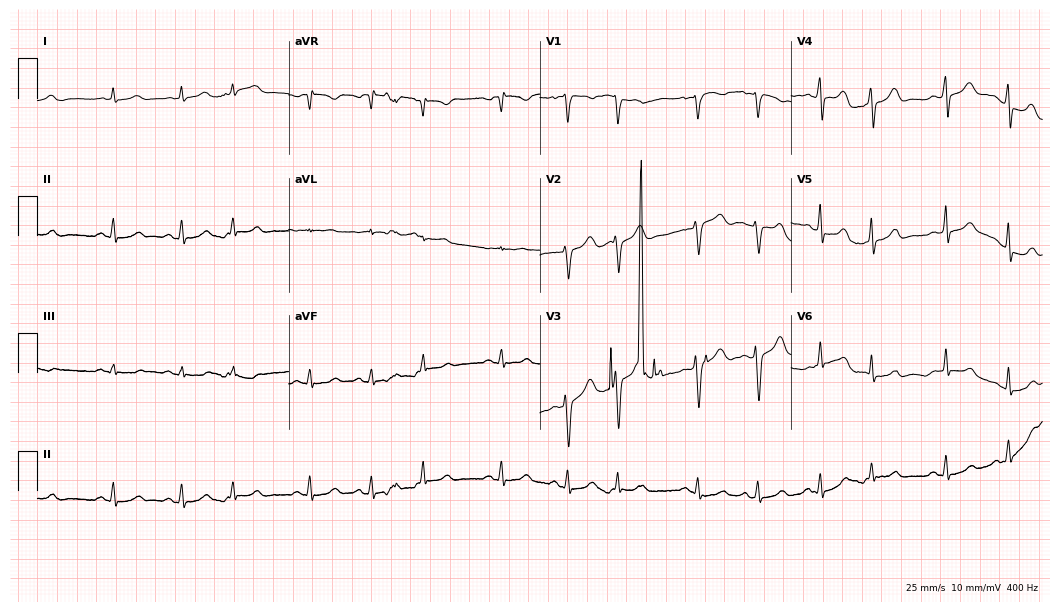
Standard 12-lead ECG recorded from a female, 29 years old (10.2-second recording at 400 Hz). None of these six findings is recorded: first-degree AV block, right bundle branch block, left bundle branch block, sinus bradycardia, atrial fibrillation, sinus tachycardia.